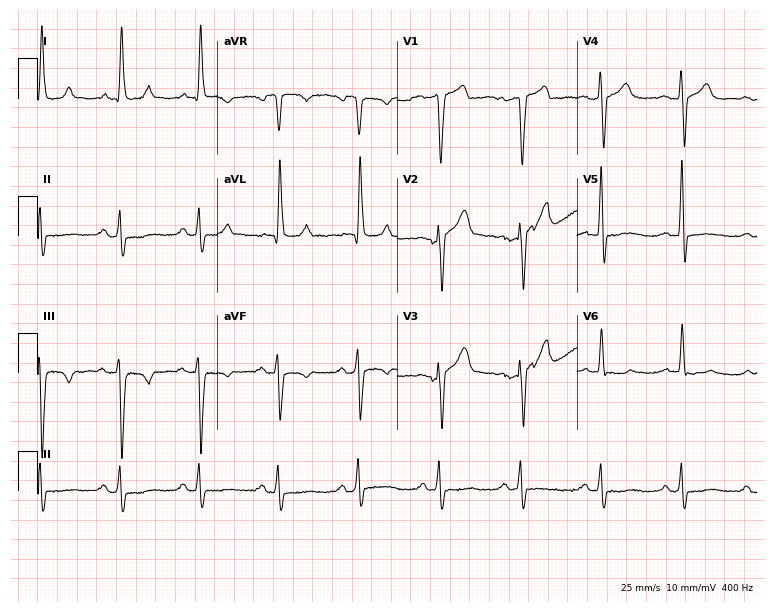
Standard 12-lead ECG recorded from a man, 71 years old. None of these six findings is recorded: first-degree AV block, right bundle branch block, left bundle branch block, sinus bradycardia, atrial fibrillation, sinus tachycardia.